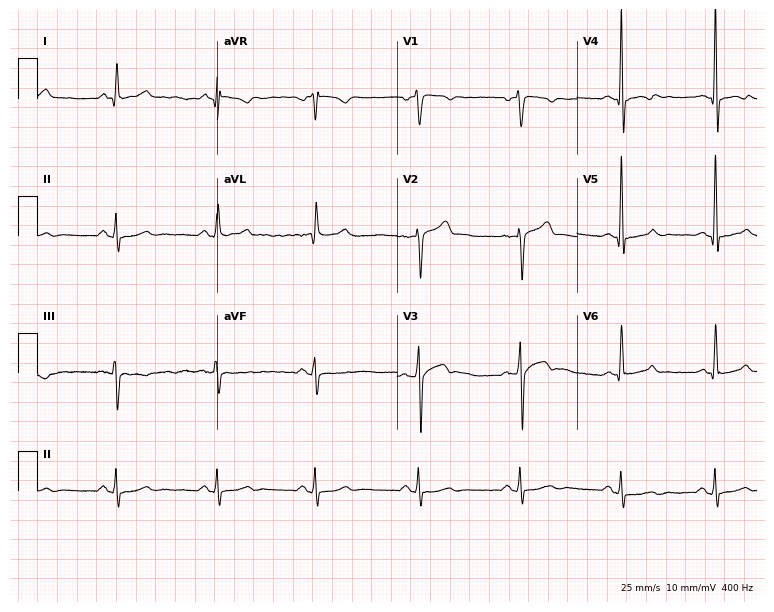
12-lead ECG (7.3-second recording at 400 Hz) from a male, 35 years old. Labelled as a normal ECG.